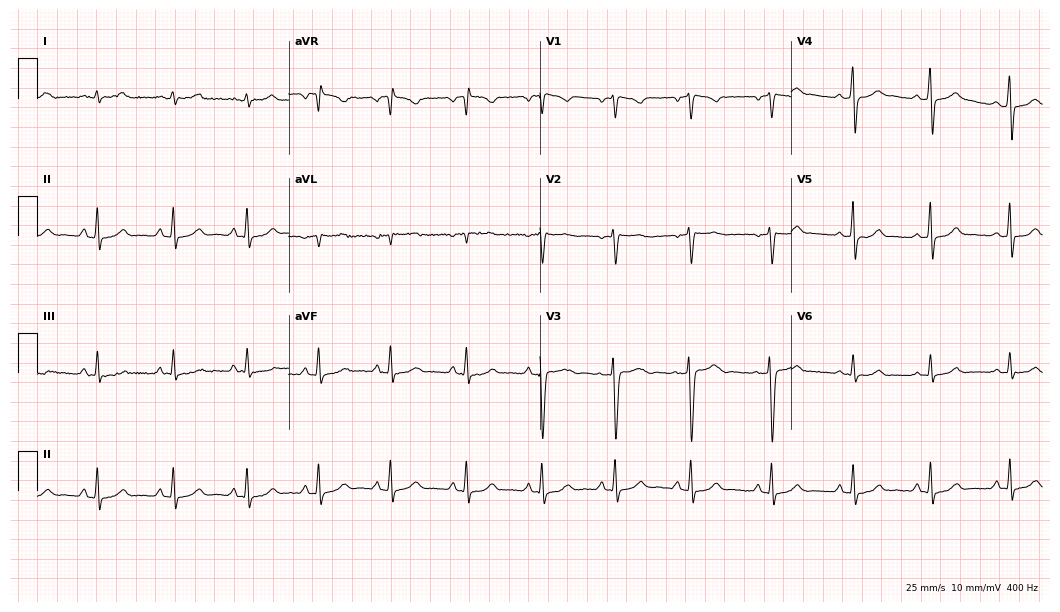
12-lead ECG from a 32-year-old female. Recorded interpretation: within normal limits.